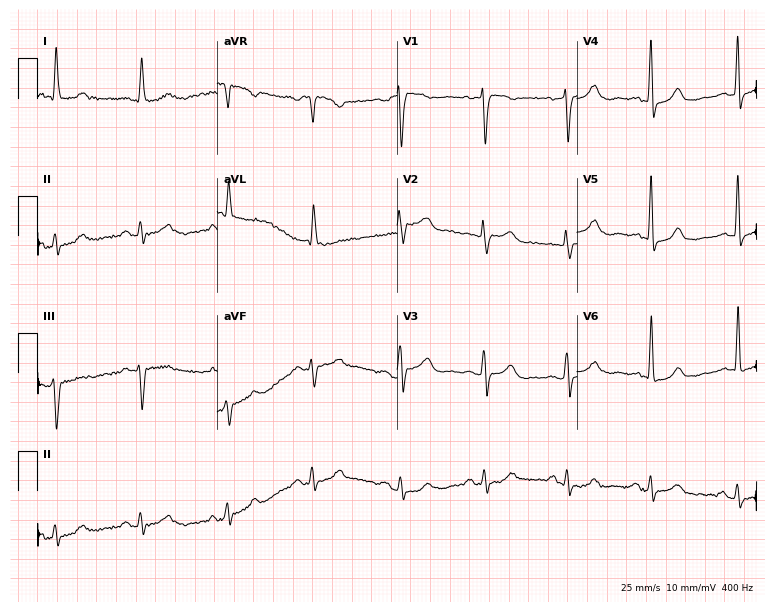
Standard 12-lead ECG recorded from a female patient, 72 years old (7.3-second recording at 400 Hz). None of these six findings is recorded: first-degree AV block, right bundle branch block (RBBB), left bundle branch block (LBBB), sinus bradycardia, atrial fibrillation (AF), sinus tachycardia. Only these six findings were labelled.